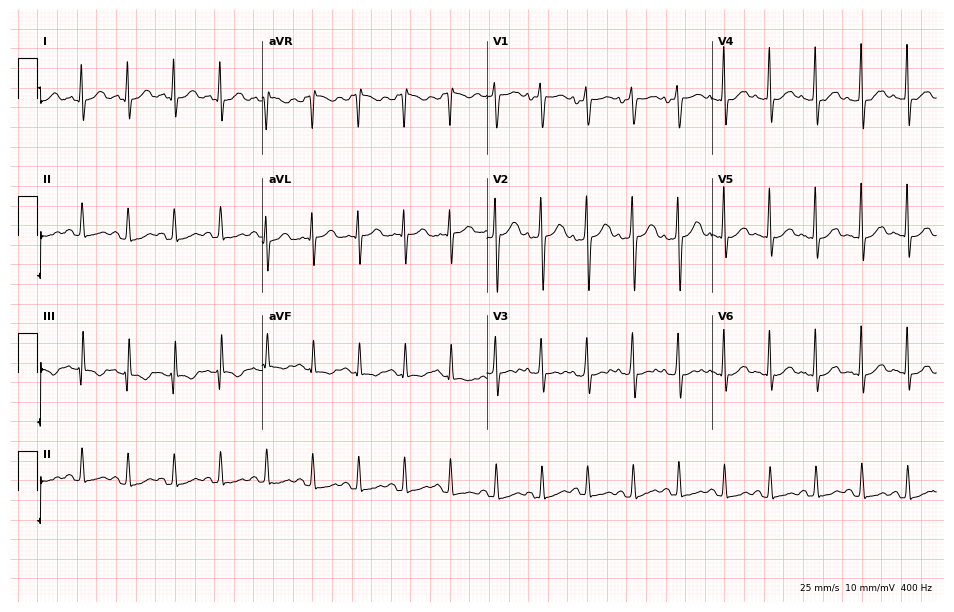
ECG (9.2-second recording at 400 Hz) — a 23-year-old female patient. Findings include sinus tachycardia (a sinus rate of 100 beats per minute or more).